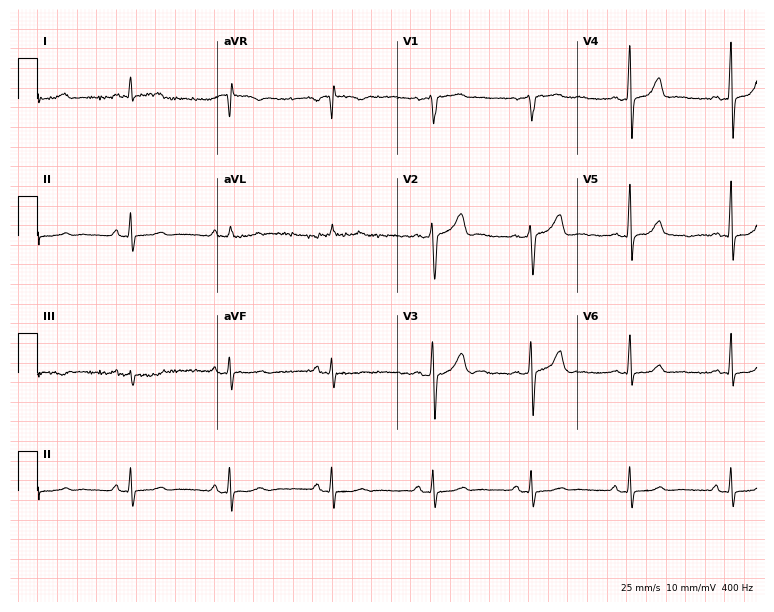
ECG — a 33-year-old woman. Labelled as a normal ECG.